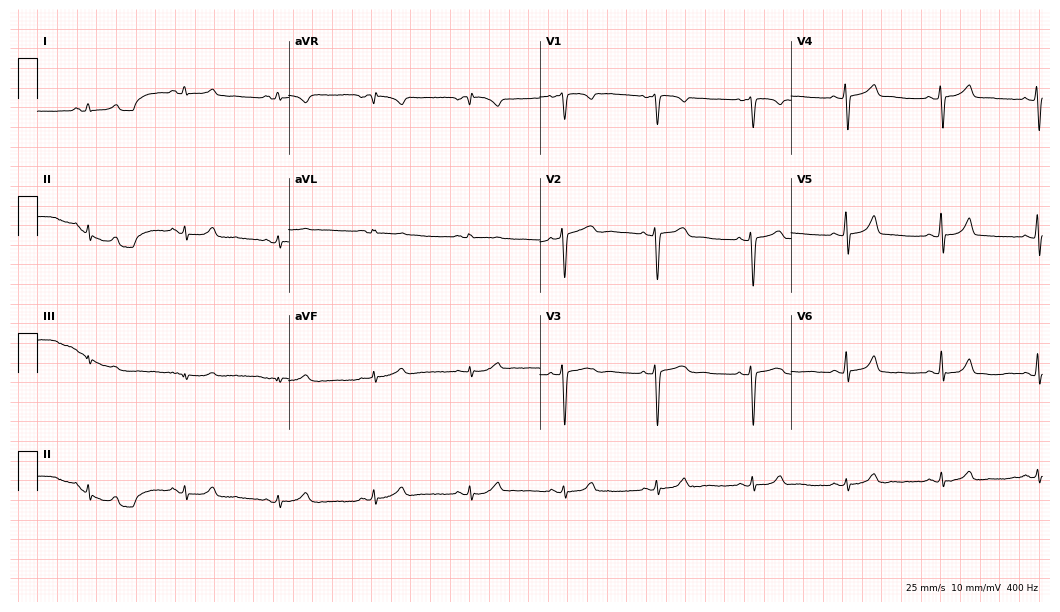
Resting 12-lead electrocardiogram. Patient: a woman, 27 years old. Read as a normal ECG.